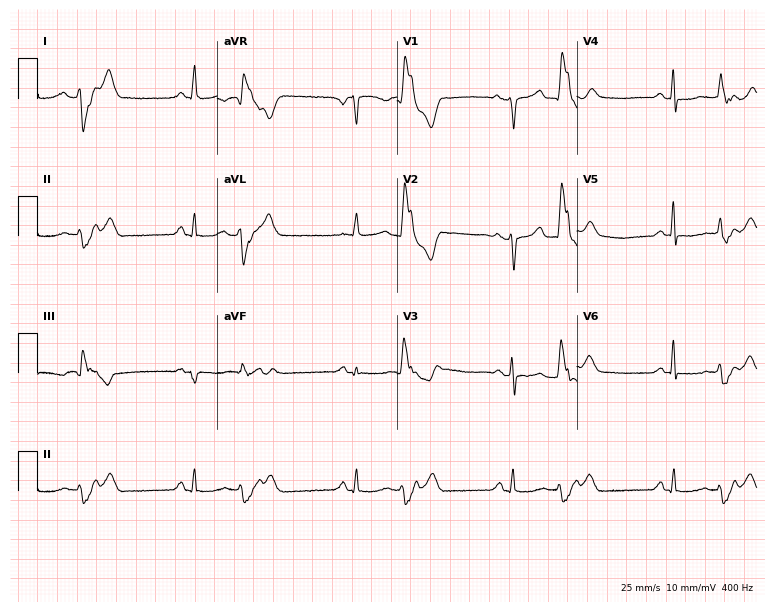
Electrocardiogram, a 61-year-old woman. Of the six screened findings (first-degree AV block, right bundle branch block (RBBB), left bundle branch block (LBBB), sinus bradycardia, atrial fibrillation (AF), sinus tachycardia), none is recorded. Findings outside these six are not listed.